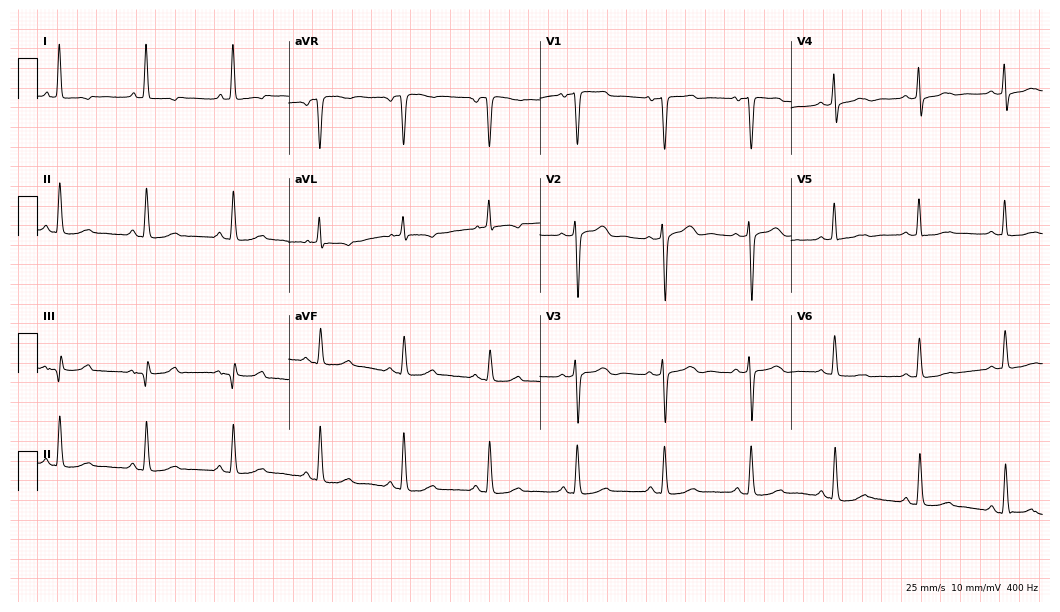
Electrocardiogram (10.2-second recording at 400 Hz), a female, 52 years old. Of the six screened findings (first-degree AV block, right bundle branch block (RBBB), left bundle branch block (LBBB), sinus bradycardia, atrial fibrillation (AF), sinus tachycardia), none is recorded.